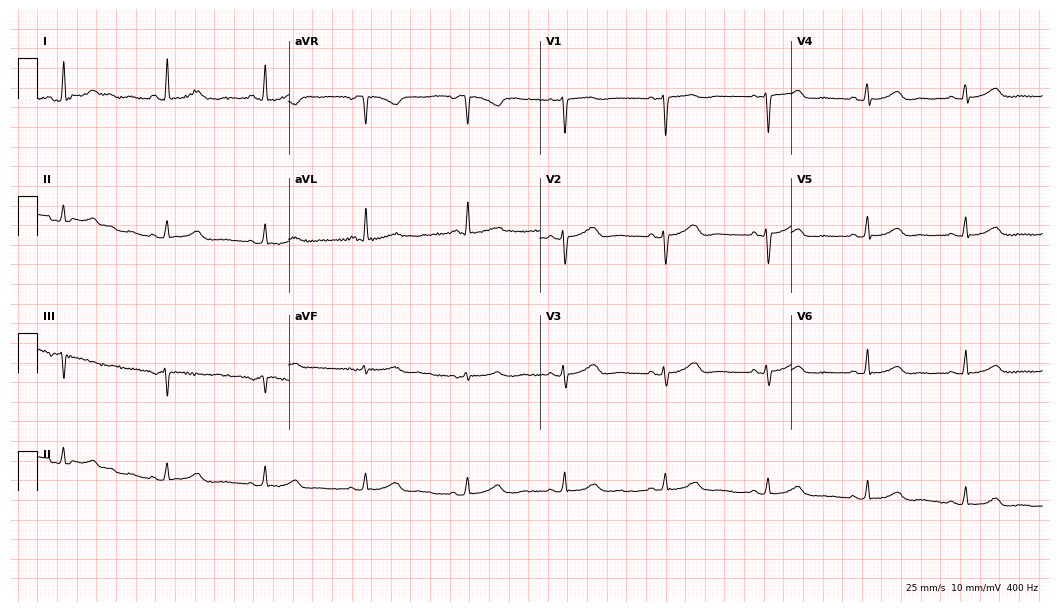
12-lead ECG from a female patient, 51 years old. Recorded interpretation: within normal limits.